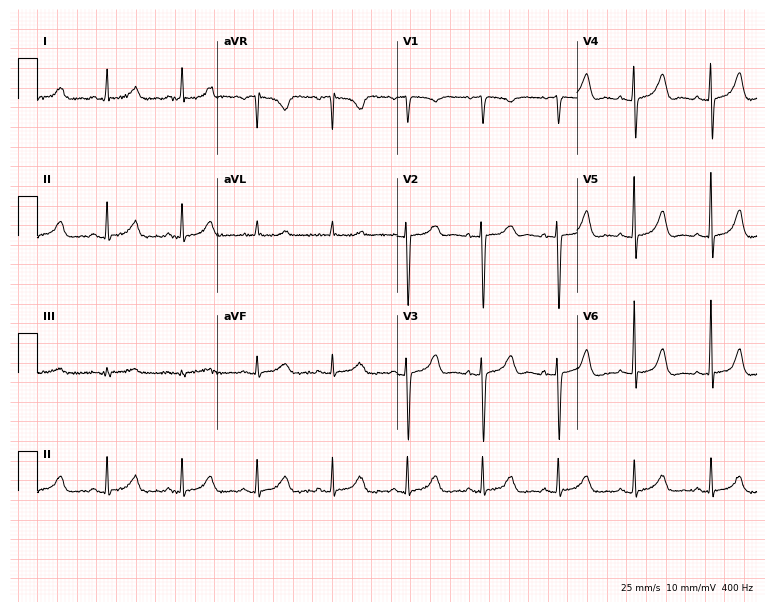
12-lead ECG (7.3-second recording at 400 Hz) from a 70-year-old female patient. Screened for six findings — first-degree AV block, right bundle branch block (RBBB), left bundle branch block (LBBB), sinus bradycardia, atrial fibrillation (AF), sinus tachycardia — none is recorded. Other findings, if any, are not listed.